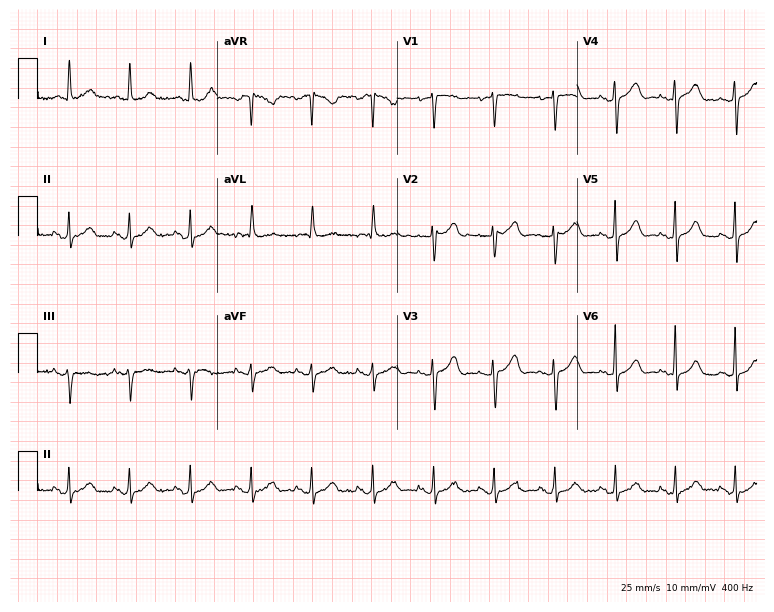
12-lead ECG from a 79-year-old female. Recorded interpretation: within normal limits.